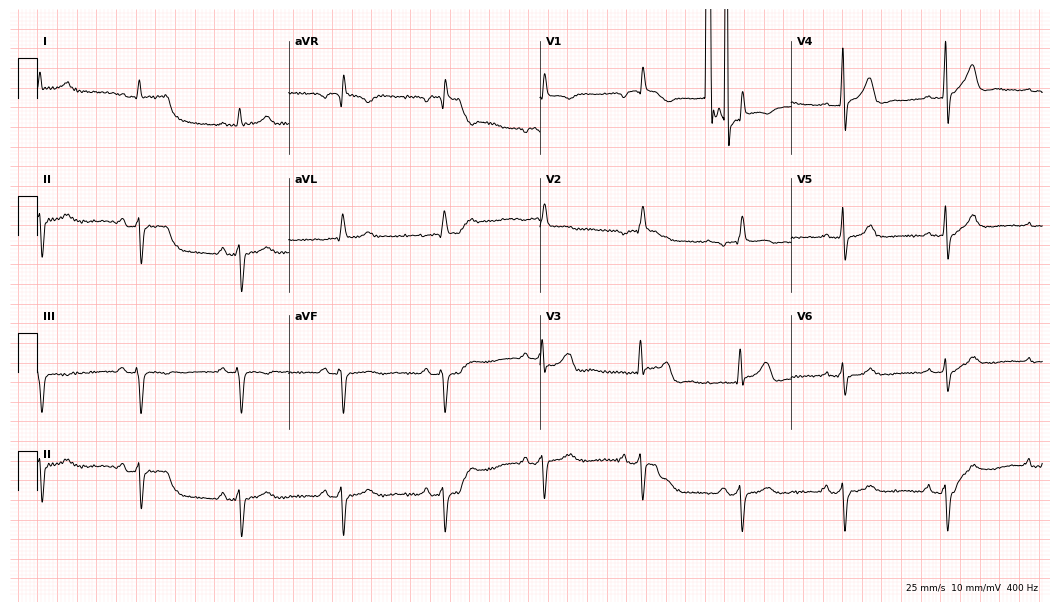
ECG (10.2-second recording at 400 Hz) — a 48-year-old female patient. Screened for six findings — first-degree AV block, right bundle branch block (RBBB), left bundle branch block (LBBB), sinus bradycardia, atrial fibrillation (AF), sinus tachycardia — none is recorded.